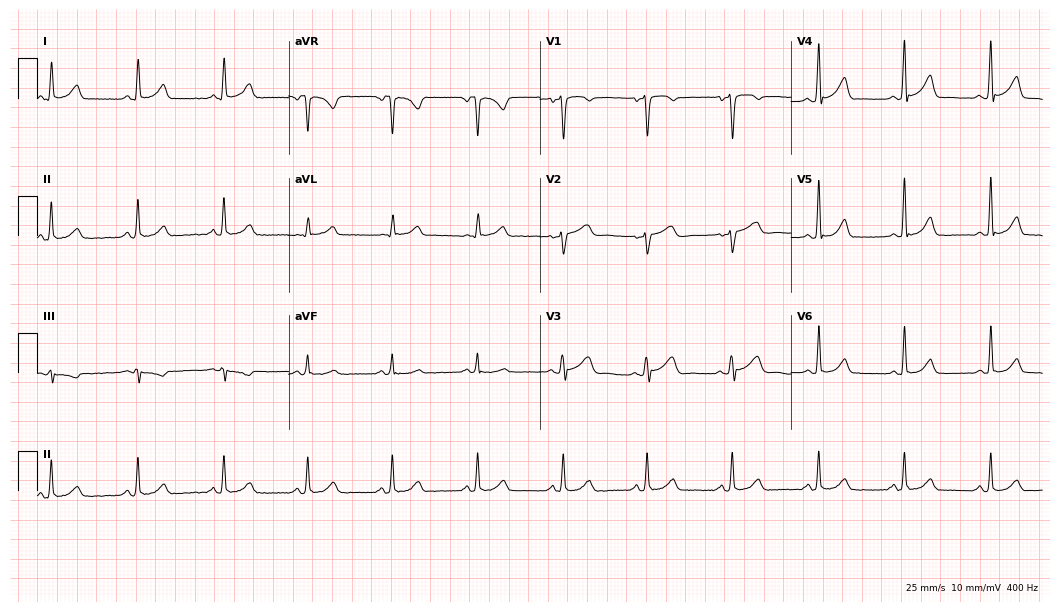
12-lead ECG from a 56-year-old female patient (10.2-second recording at 400 Hz). Recorded interpretation: within normal limits.